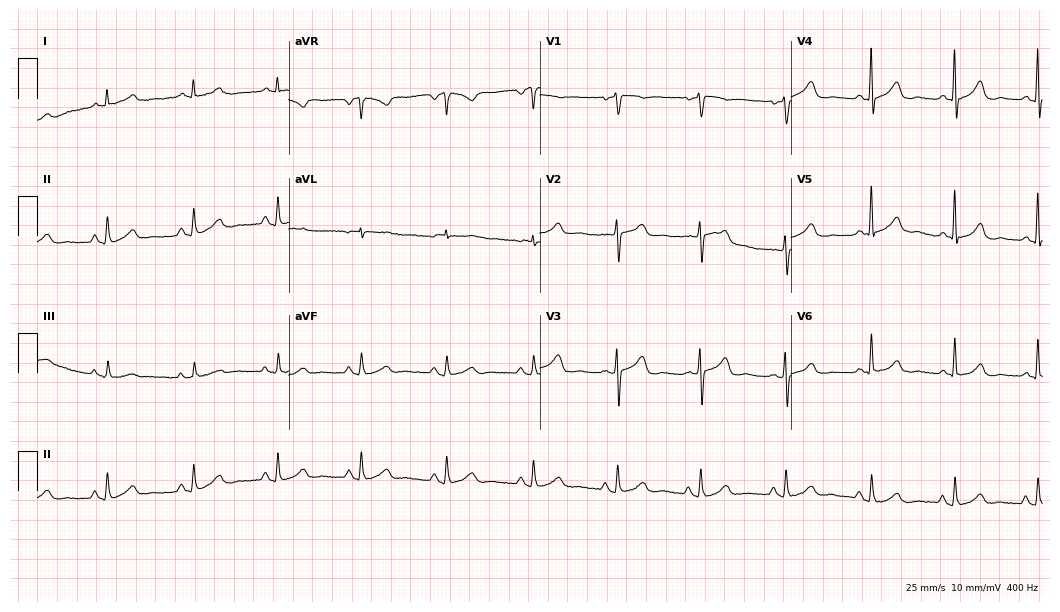
Resting 12-lead electrocardiogram (10.2-second recording at 400 Hz). Patient: a female, 69 years old. None of these six findings is recorded: first-degree AV block, right bundle branch block, left bundle branch block, sinus bradycardia, atrial fibrillation, sinus tachycardia. Other findings, if any, are not listed.